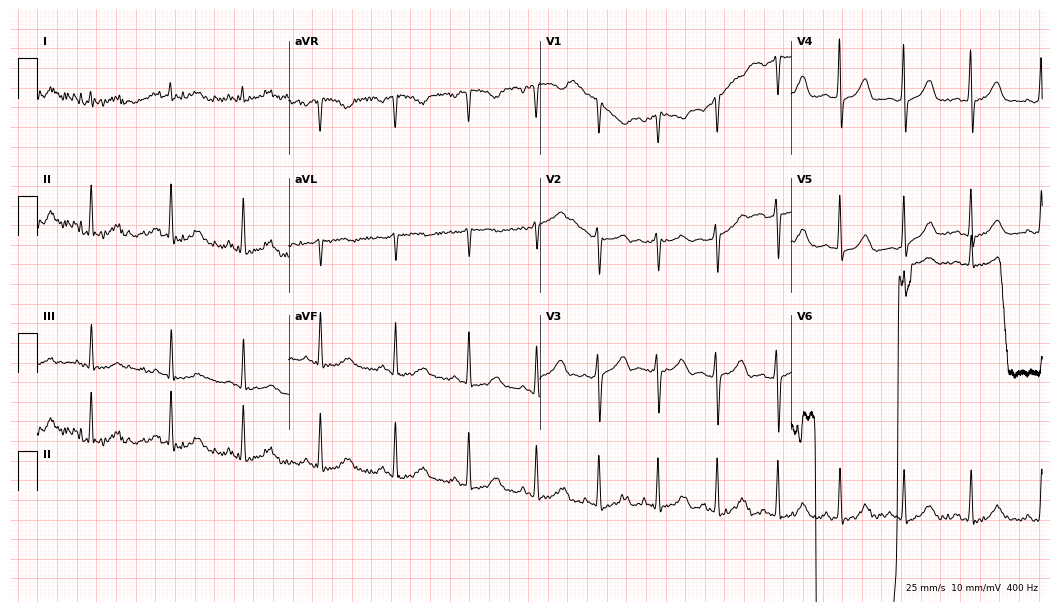
Resting 12-lead electrocardiogram (10.2-second recording at 400 Hz). Patient: a 21-year-old woman. None of these six findings is recorded: first-degree AV block, right bundle branch block, left bundle branch block, sinus bradycardia, atrial fibrillation, sinus tachycardia.